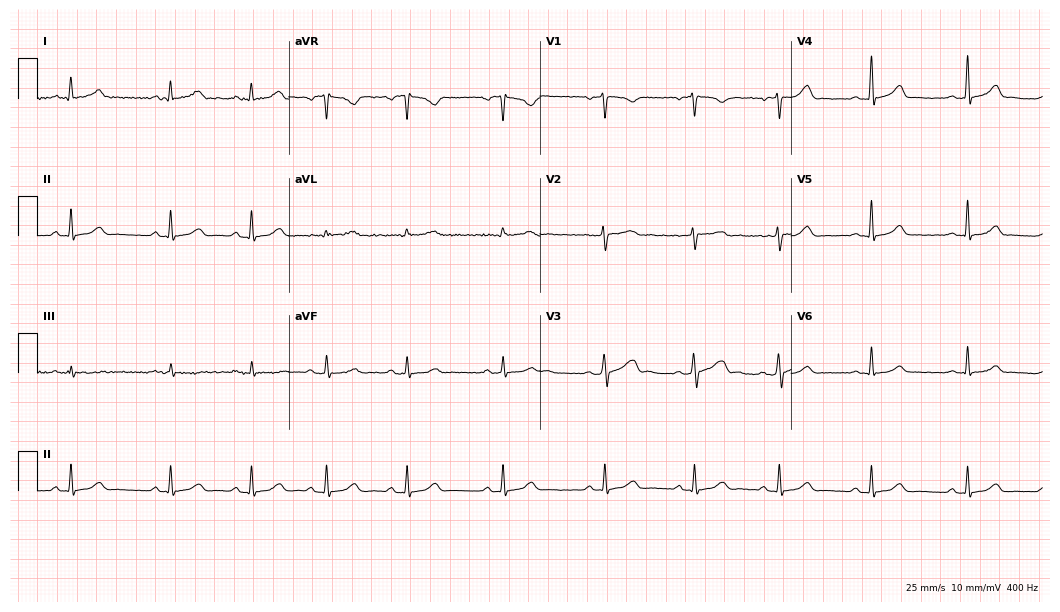
ECG — a woman, 29 years old. Labelled as a normal ECG.